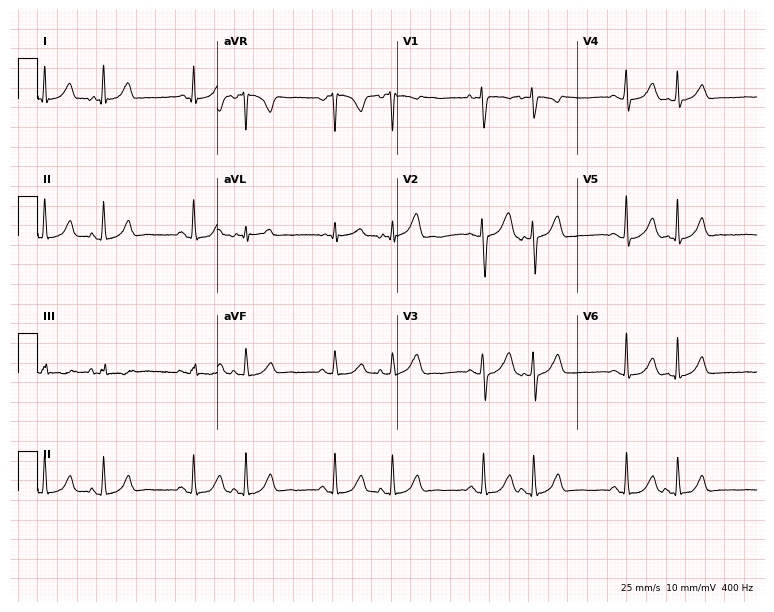
ECG (7.3-second recording at 400 Hz) — a 35-year-old woman. Screened for six findings — first-degree AV block, right bundle branch block, left bundle branch block, sinus bradycardia, atrial fibrillation, sinus tachycardia — none is recorded.